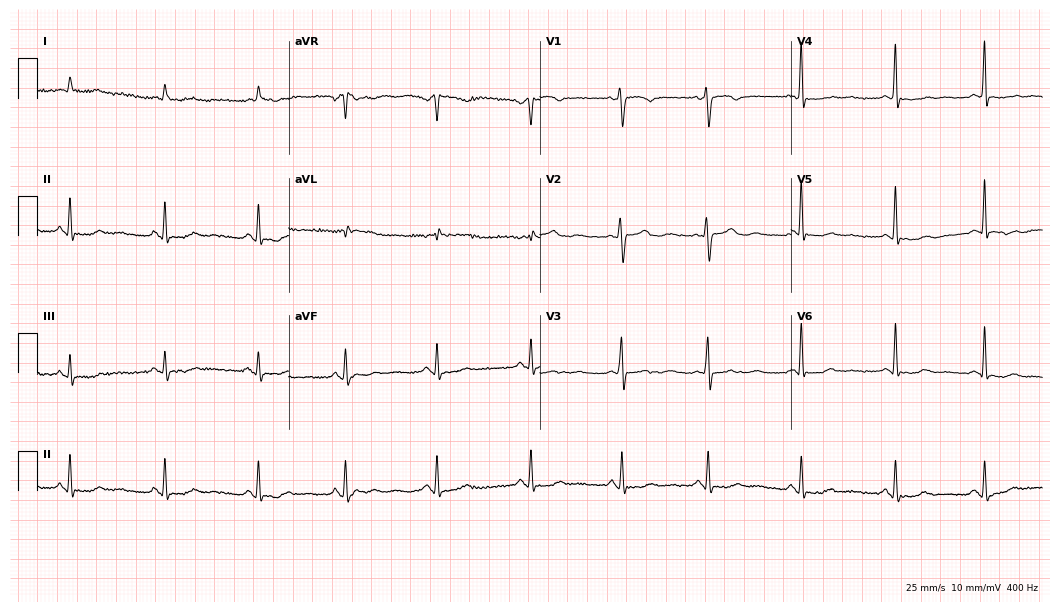
12-lead ECG (10.2-second recording at 400 Hz) from a woman, 49 years old. Screened for six findings — first-degree AV block, right bundle branch block, left bundle branch block, sinus bradycardia, atrial fibrillation, sinus tachycardia — none is recorded.